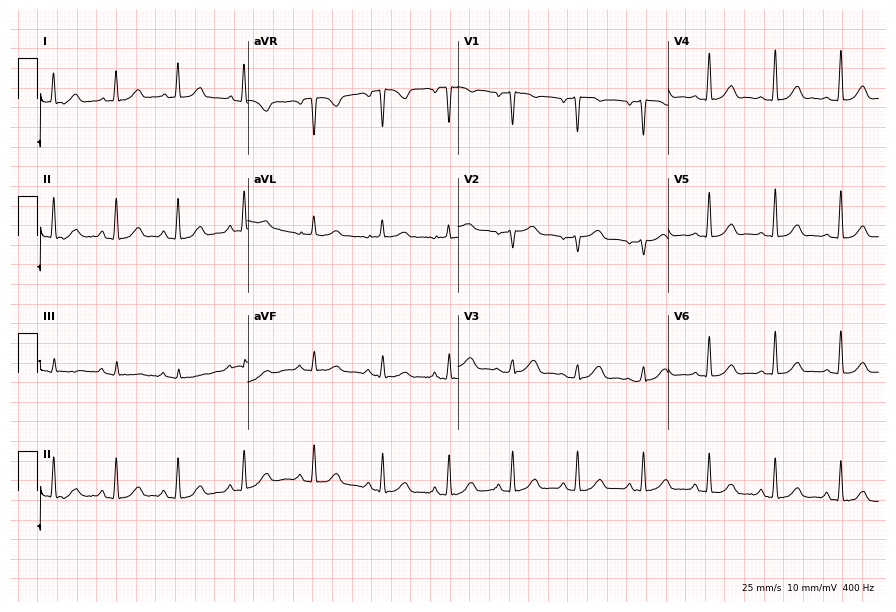
12-lead ECG from a 55-year-old woman. No first-degree AV block, right bundle branch block, left bundle branch block, sinus bradycardia, atrial fibrillation or sinus tachycardia recorded for this tracing. Findings outside these six are not listed.